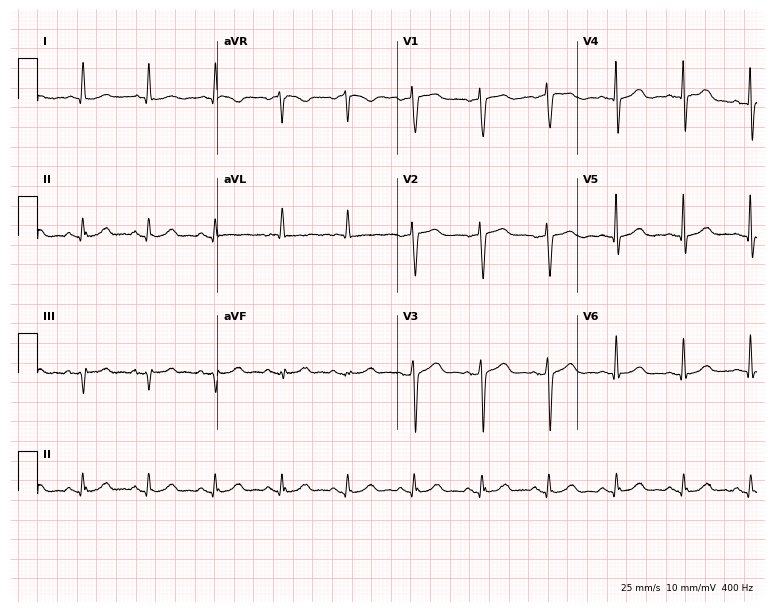
ECG (7.3-second recording at 400 Hz) — a woman, 84 years old. Screened for six findings — first-degree AV block, right bundle branch block (RBBB), left bundle branch block (LBBB), sinus bradycardia, atrial fibrillation (AF), sinus tachycardia — none is recorded. Only these six findings were labelled.